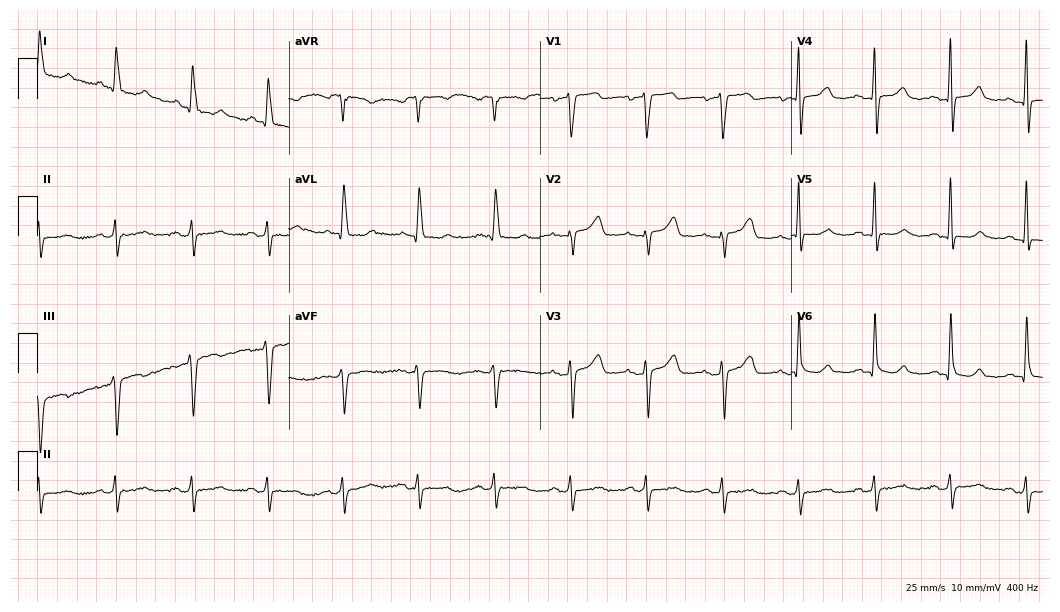
ECG — an 81-year-old female. Screened for six findings — first-degree AV block, right bundle branch block, left bundle branch block, sinus bradycardia, atrial fibrillation, sinus tachycardia — none is recorded.